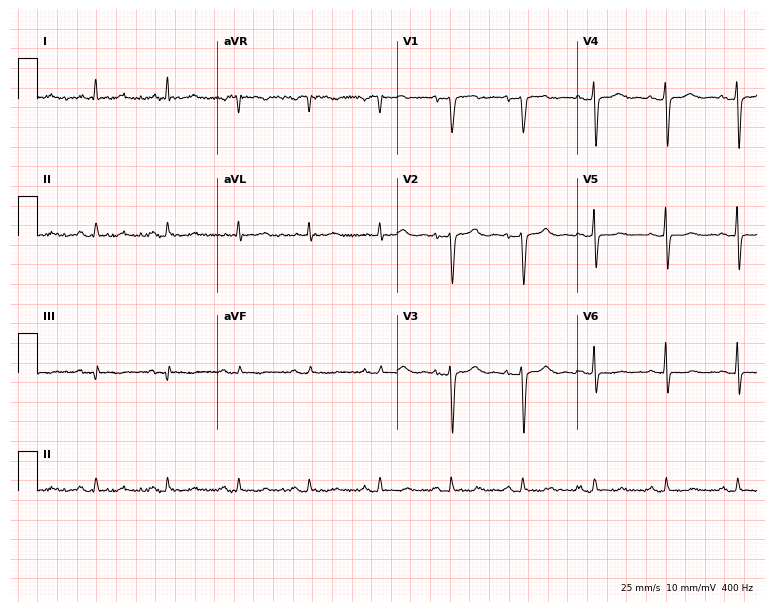
12-lead ECG from a woman, 62 years old. No first-degree AV block, right bundle branch block (RBBB), left bundle branch block (LBBB), sinus bradycardia, atrial fibrillation (AF) or sinus tachycardia recorded for this tracing.